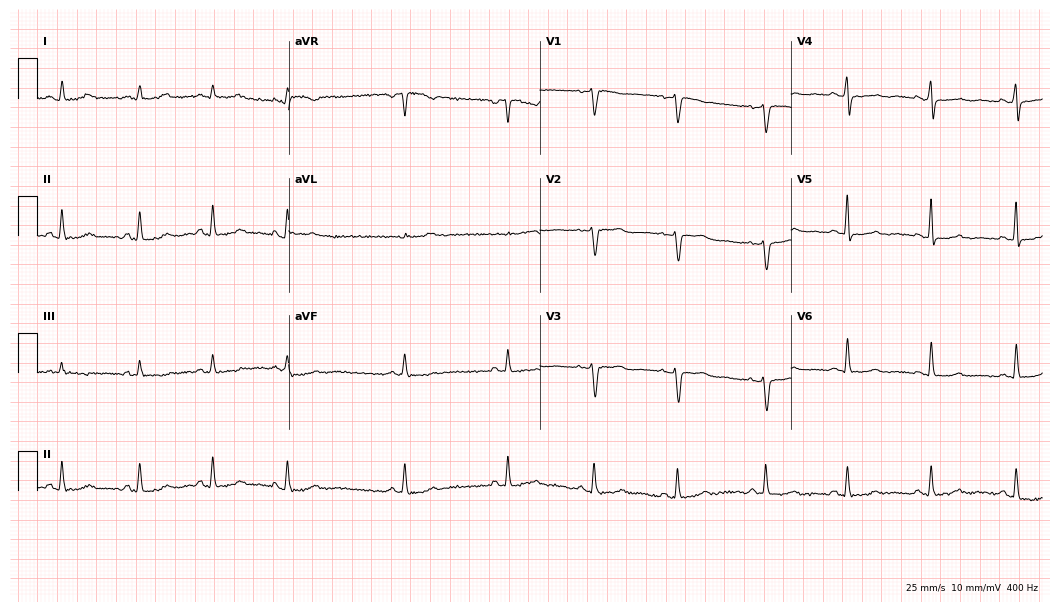
12-lead ECG from a 41-year-old female. No first-degree AV block, right bundle branch block, left bundle branch block, sinus bradycardia, atrial fibrillation or sinus tachycardia recorded for this tracing.